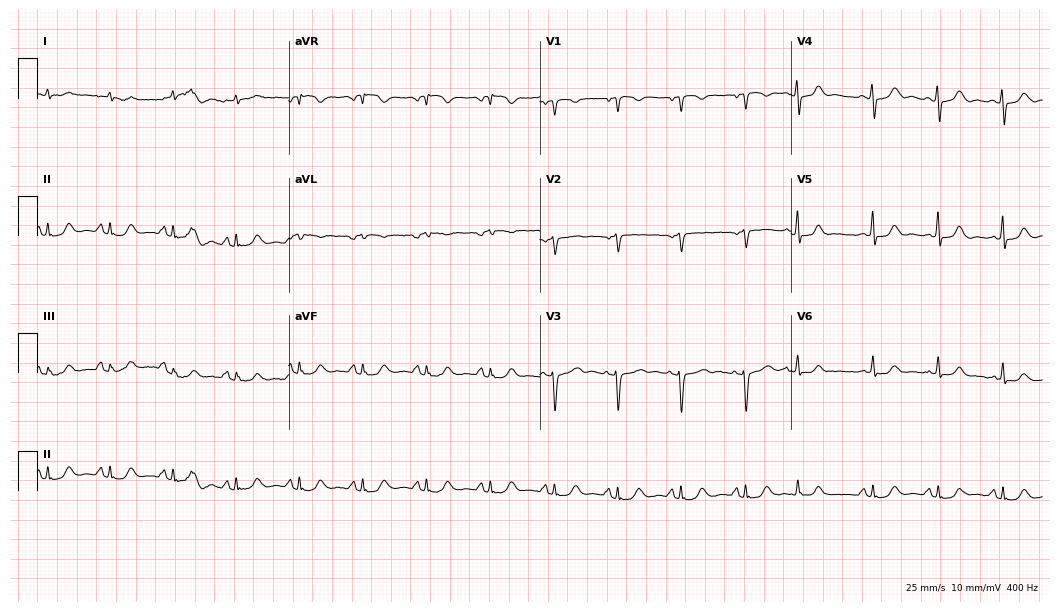
Standard 12-lead ECG recorded from a female, 67 years old. None of these six findings is recorded: first-degree AV block, right bundle branch block (RBBB), left bundle branch block (LBBB), sinus bradycardia, atrial fibrillation (AF), sinus tachycardia. Other findings, if any, are not listed.